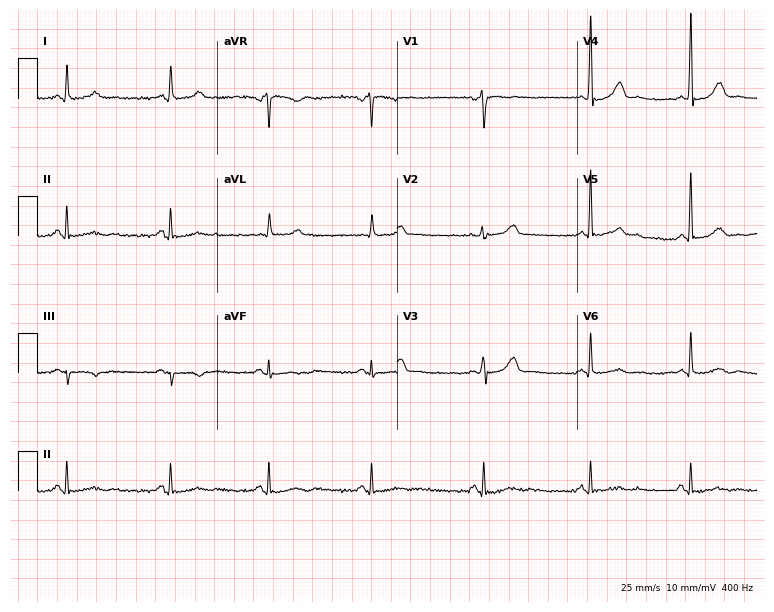
Standard 12-lead ECG recorded from a 45-year-old female (7.3-second recording at 400 Hz). None of these six findings is recorded: first-degree AV block, right bundle branch block, left bundle branch block, sinus bradycardia, atrial fibrillation, sinus tachycardia. Findings outside these six are not listed.